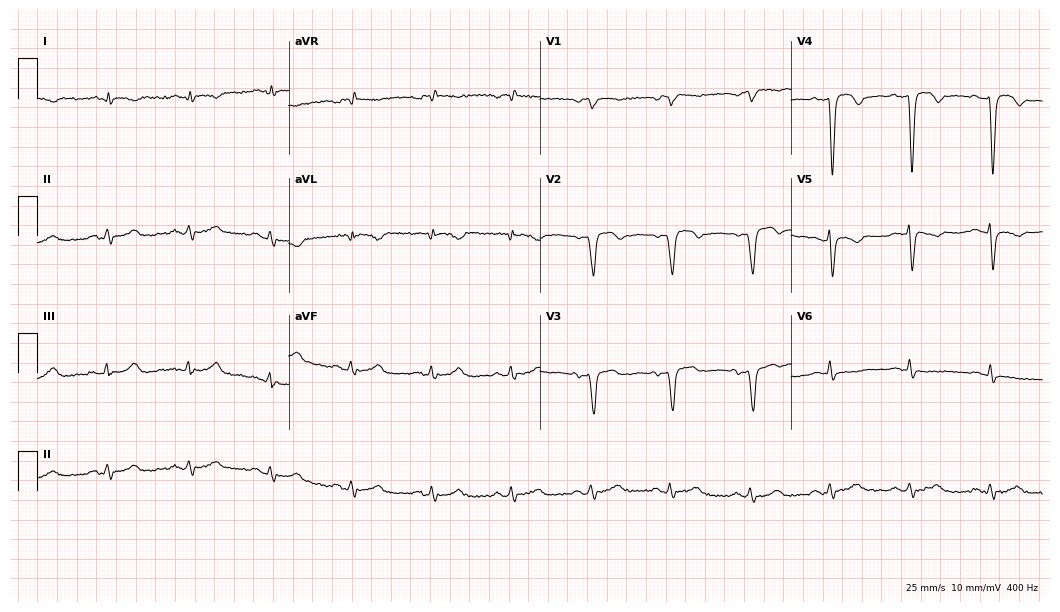
Resting 12-lead electrocardiogram. Patient: a man, 64 years old. None of these six findings is recorded: first-degree AV block, right bundle branch block, left bundle branch block, sinus bradycardia, atrial fibrillation, sinus tachycardia.